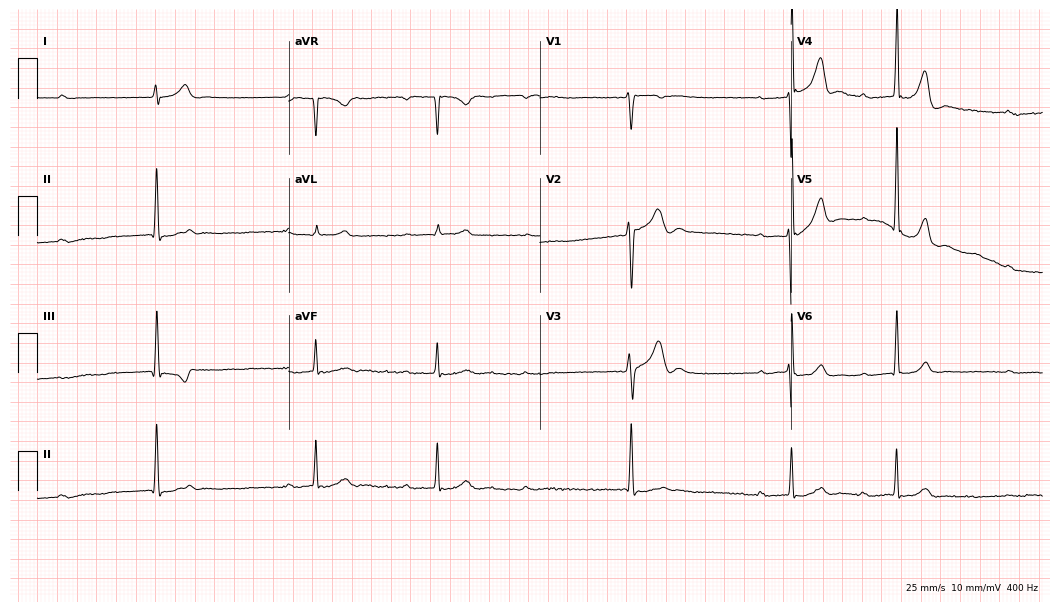
12-lead ECG (10.2-second recording at 400 Hz) from a male patient, 46 years old. Screened for six findings — first-degree AV block, right bundle branch block, left bundle branch block, sinus bradycardia, atrial fibrillation, sinus tachycardia — none is recorded.